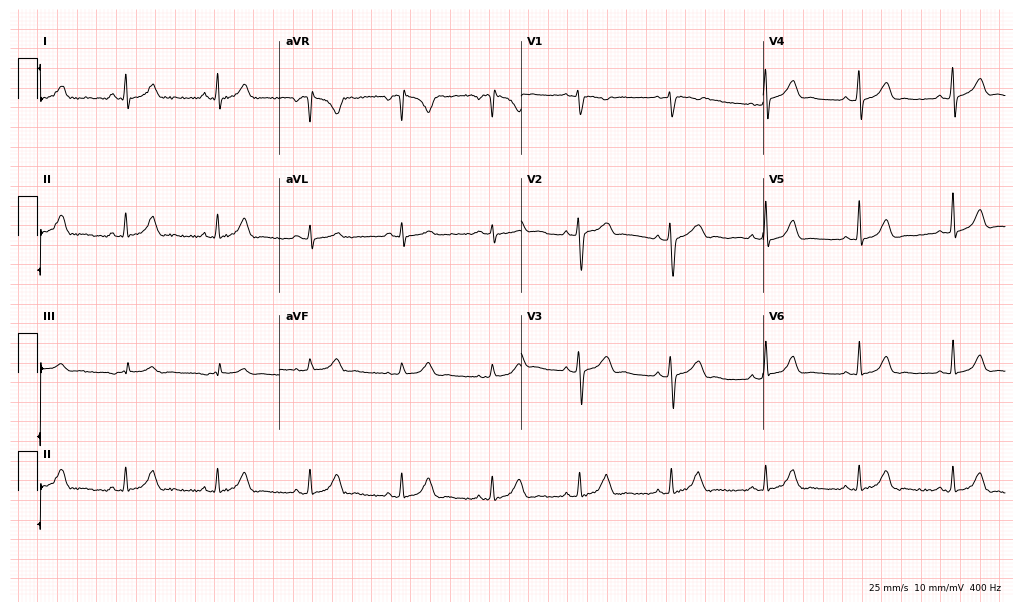
12-lead ECG from a 30-year-old woman. Labelled as a normal ECG.